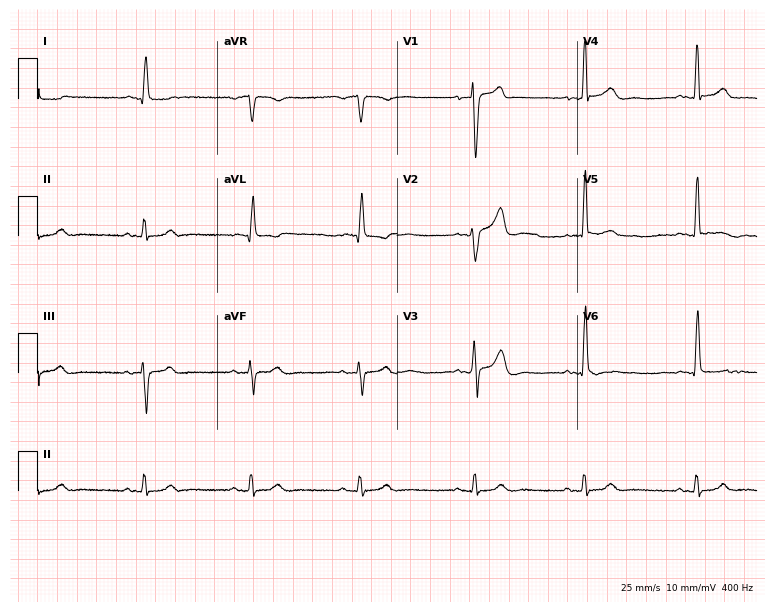
12-lead ECG from a 71-year-old man. No first-degree AV block, right bundle branch block, left bundle branch block, sinus bradycardia, atrial fibrillation or sinus tachycardia recorded for this tracing. Other findings, if any, are not listed.